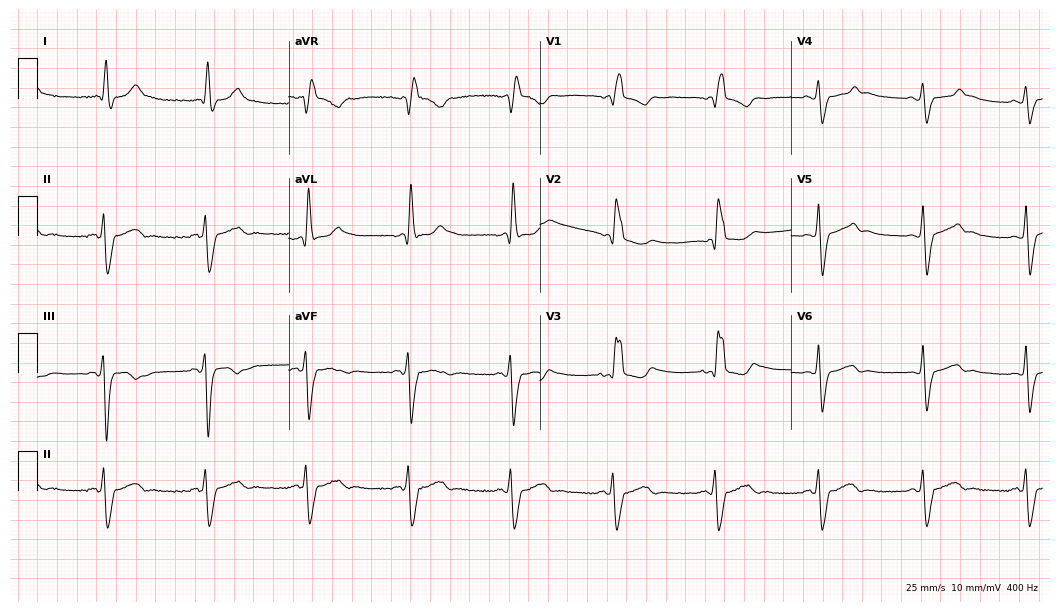
12-lead ECG from a woman, 62 years old. Findings include right bundle branch block.